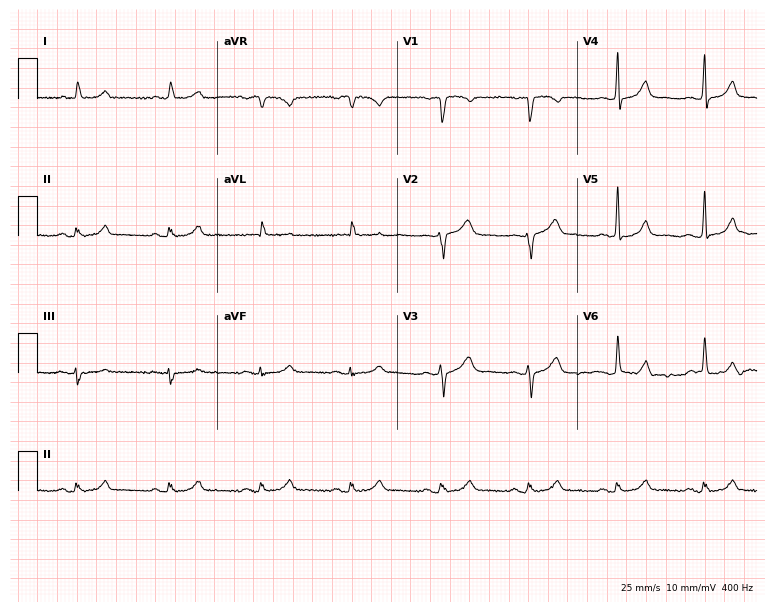
Resting 12-lead electrocardiogram (7.3-second recording at 400 Hz). Patient: a male, 69 years old. Read as a normal ECG.